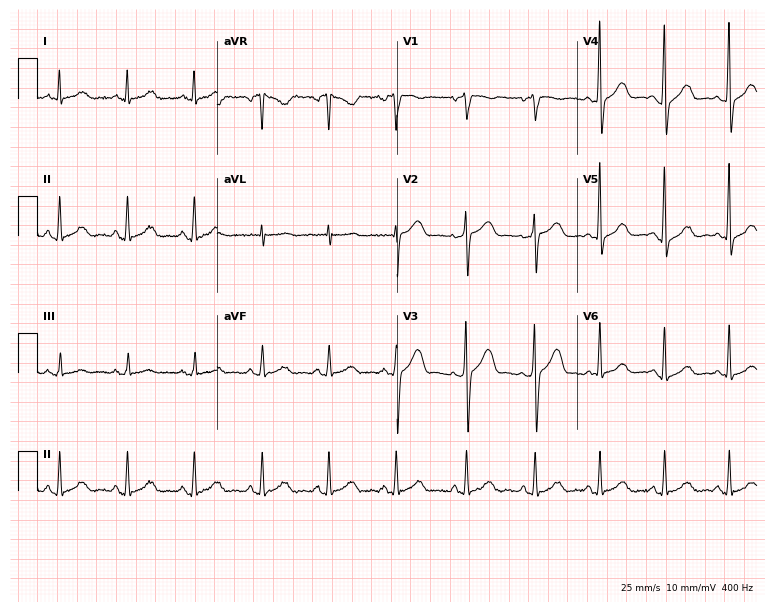
Standard 12-lead ECG recorded from a 63-year-old female (7.3-second recording at 400 Hz). Read as a normal ECG.